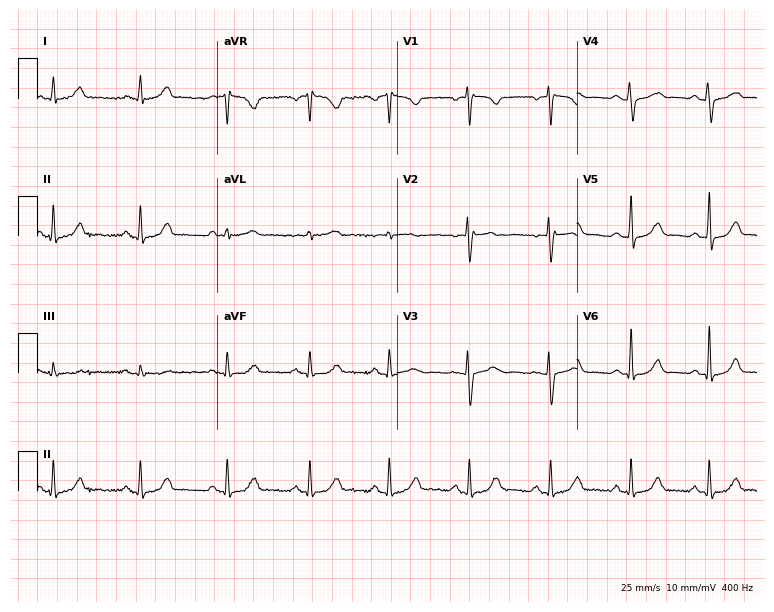
12-lead ECG from a 41-year-old woman. No first-degree AV block, right bundle branch block, left bundle branch block, sinus bradycardia, atrial fibrillation or sinus tachycardia recorded for this tracing. Findings outside these six are not listed.